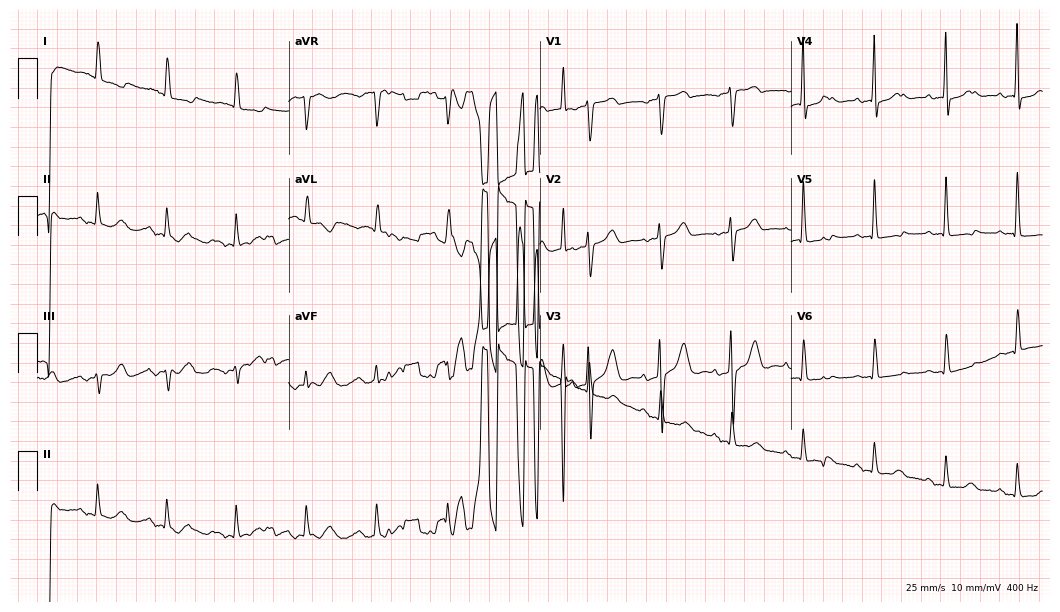
12-lead ECG (10.2-second recording at 400 Hz) from a 71-year-old woman. Screened for six findings — first-degree AV block, right bundle branch block (RBBB), left bundle branch block (LBBB), sinus bradycardia, atrial fibrillation (AF), sinus tachycardia — none is recorded.